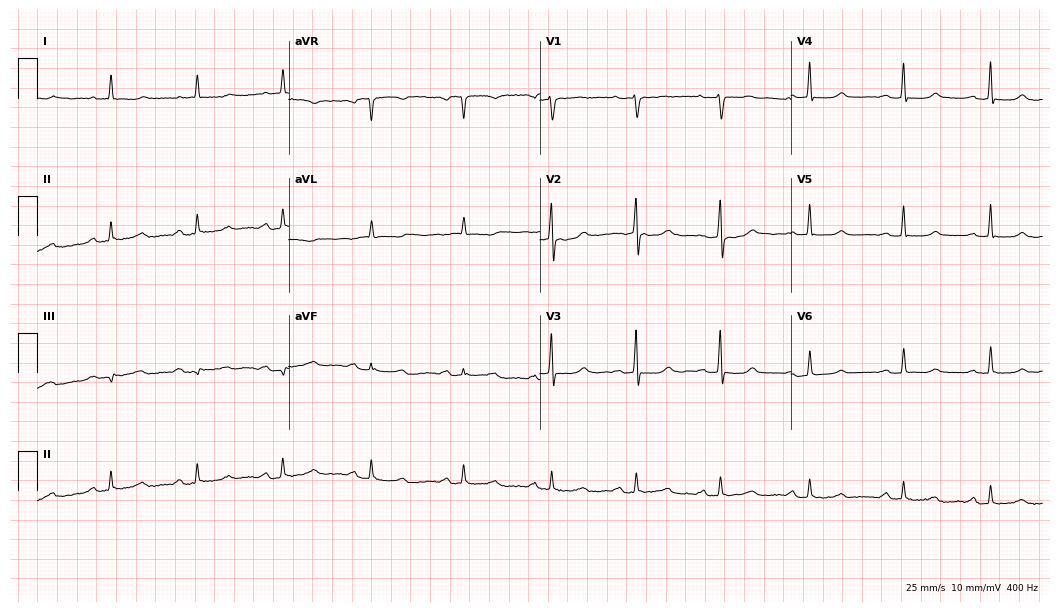
Electrocardiogram, a 47-year-old female. Overall reading on record: normal ECG.